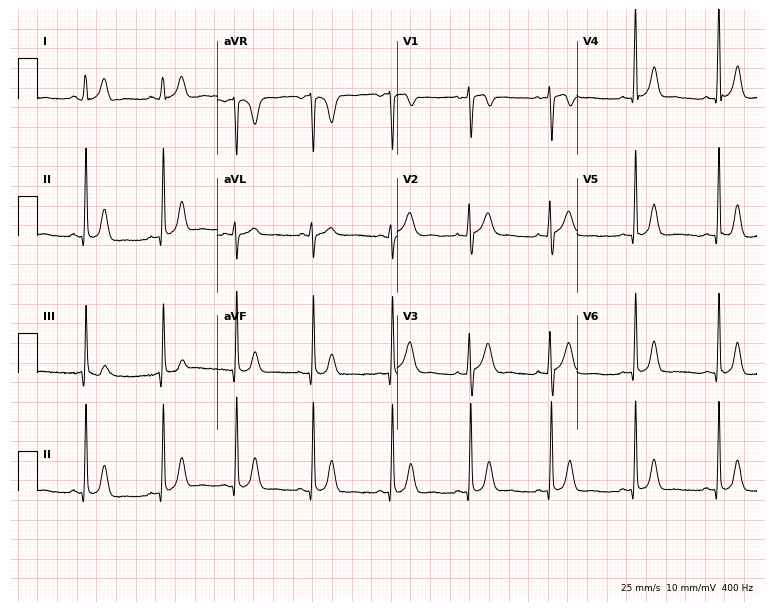
12-lead ECG from a female, 27 years old. No first-degree AV block, right bundle branch block (RBBB), left bundle branch block (LBBB), sinus bradycardia, atrial fibrillation (AF) or sinus tachycardia recorded for this tracing. Findings outside these six are not listed.